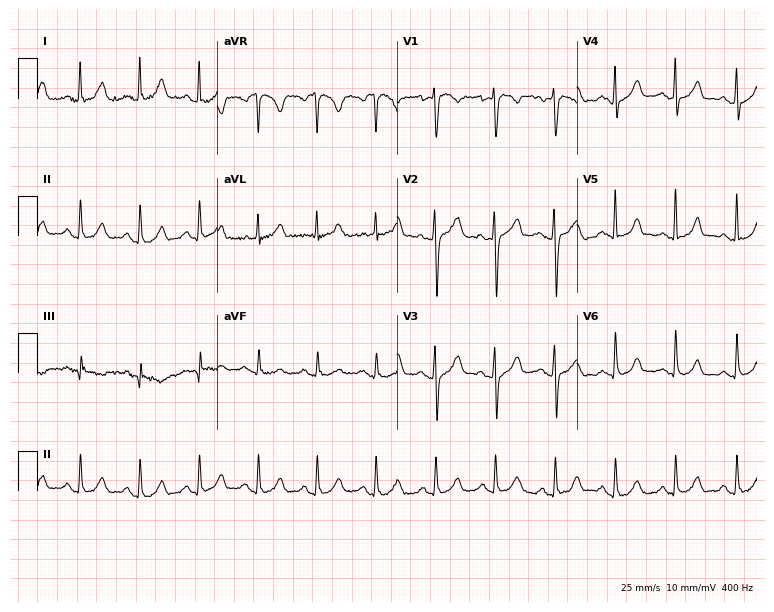
12-lead ECG from a 40-year-old woman. Screened for six findings — first-degree AV block, right bundle branch block, left bundle branch block, sinus bradycardia, atrial fibrillation, sinus tachycardia — none is recorded.